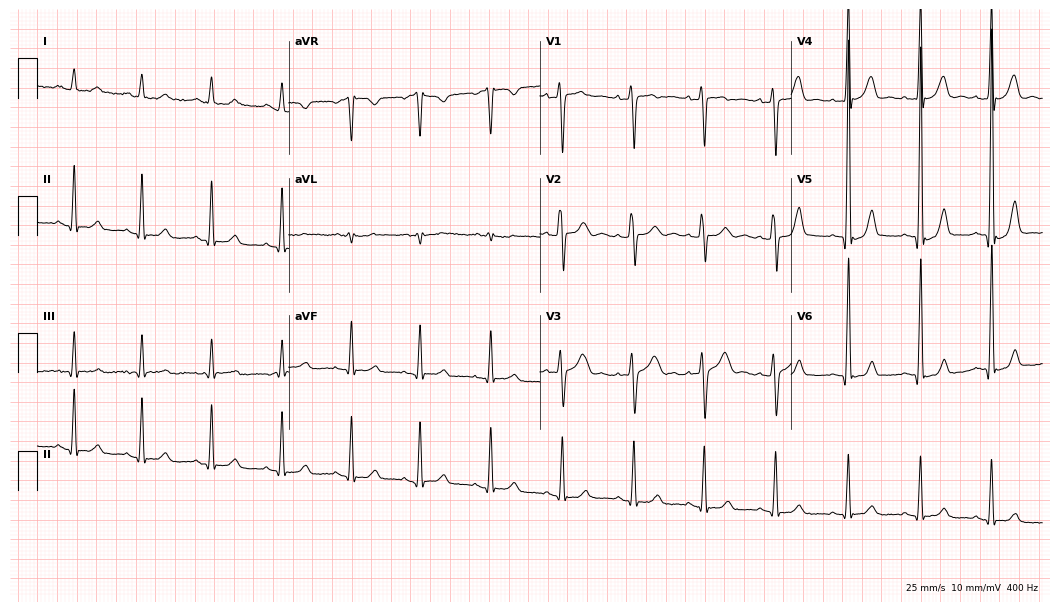
Standard 12-lead ECG recorded from a male patient, 34 years old. None of these six findings is recorded: first-degree AV block, right bundle branch block, left bundle branch block, sinus bradycardia, atrial fibrillation, sinus tachycardia. Other findings, if any, are not listed.